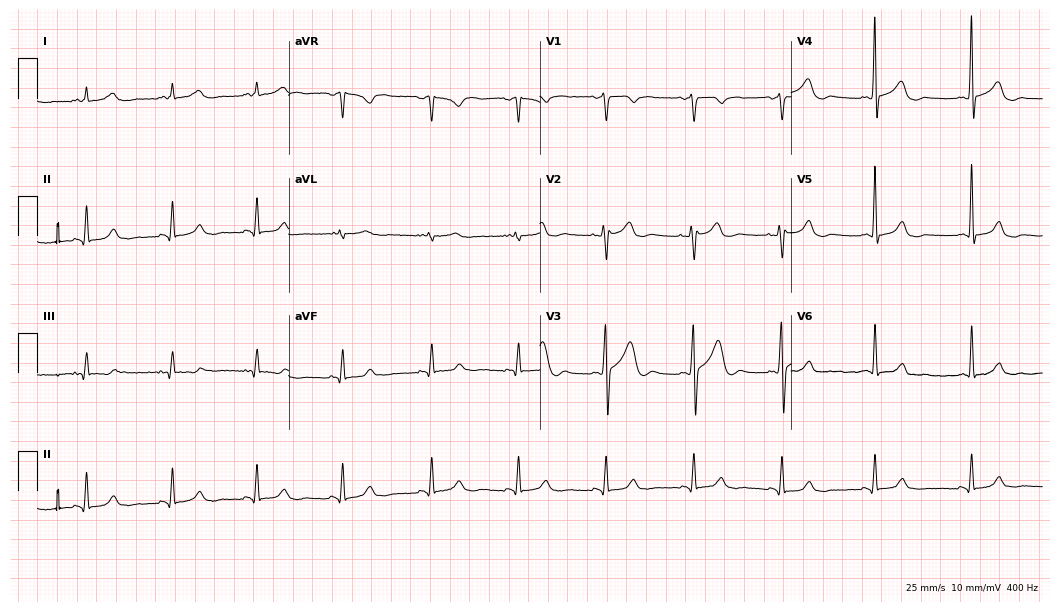
12-lead ECG from a 34-year-old male. Labelled as a normal ECG.